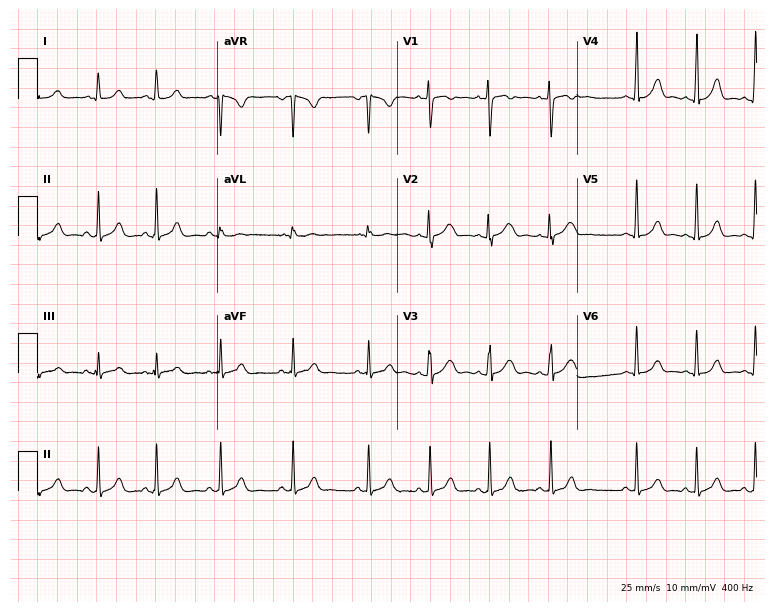
Resting 12-lead electrocardiogram. Patient: a 21-year-old female. None of these six findings is recorded: first-degree AV block, right bundle branch block (RBBB), left bundle branch block (LBBB), sinus bradycardia, atrial fibrillation (AF), sinus tachycardia.